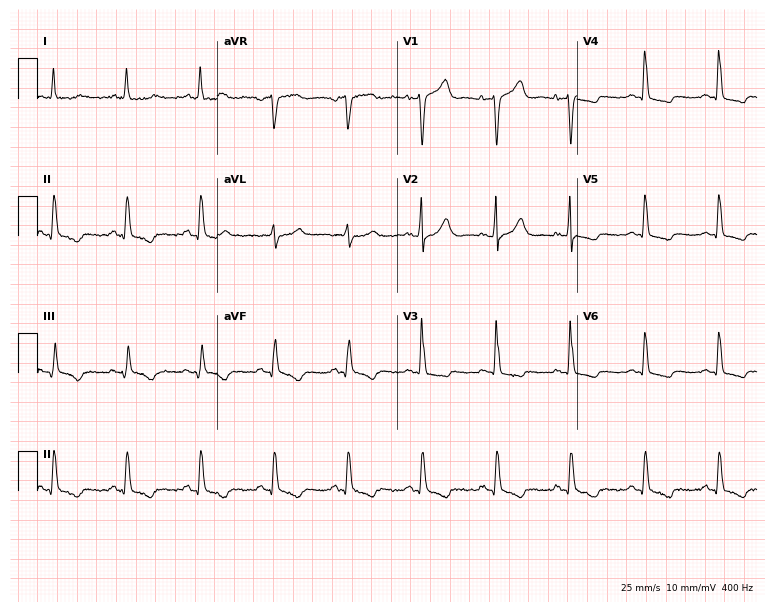
12-lead ECG from a 55-year-old female patient. No first-degree AV block, right bundle branch block (RBBB), left bundle branch block (LBBB), sinus bradycardia, atrial fibrillation (AF) or sinus tachycardia recorded for this tracing.